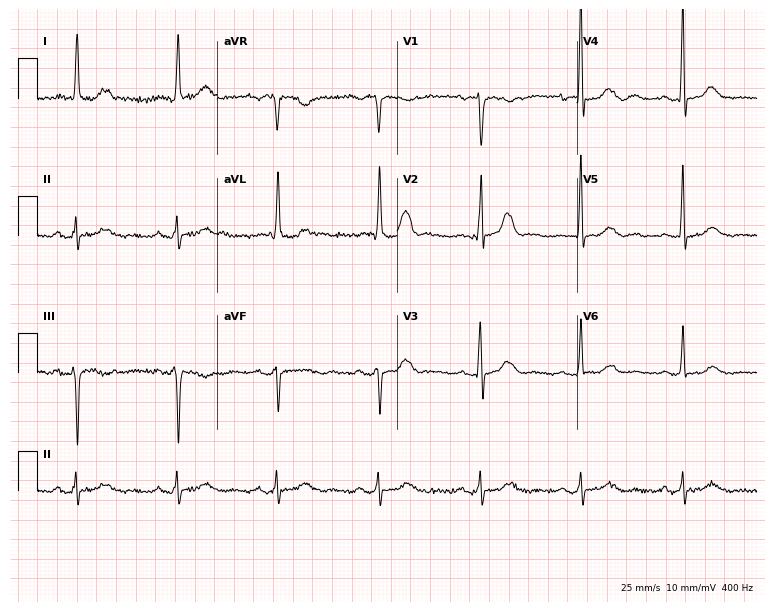
12-lead ECG from a female patient, 81 years old. Screened for six findings — first-degree AV block, right bundle branch block (RBBB), left bundle branch block (LBBB), sinus bradycardia, atrial fibrillation (AF), sinus tachycardia — none is recorded.